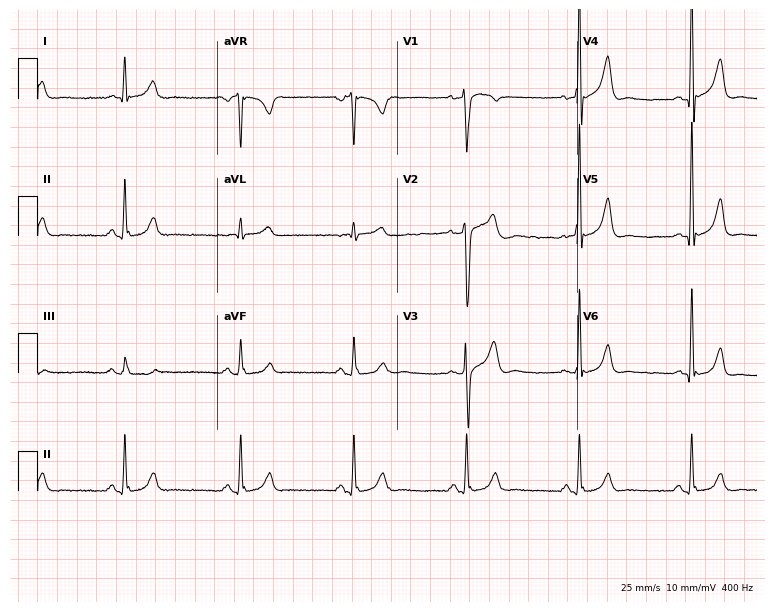
12-lead ECG from a 52-year-old male patient. Screened for six findings — first-degree AV block, right bundle branch block (RBBB), left bundle branch block (LBBB), sinus bradycardia, atrial fibrillation (AF), sinus tachycardia — none is recorded. Other findings, if any, are not listed.